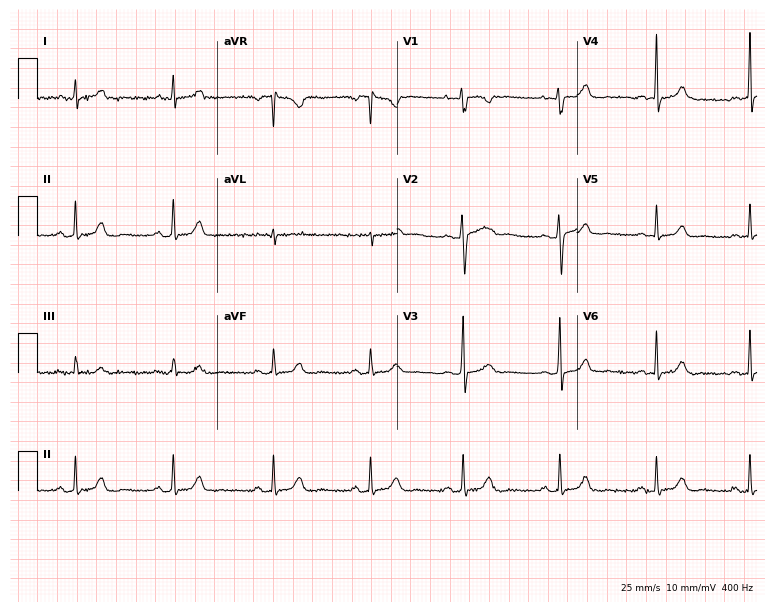
ECG (7.3-second recording at 400 Hz) — a 32-year-old female. Labelled as a normal ECG.